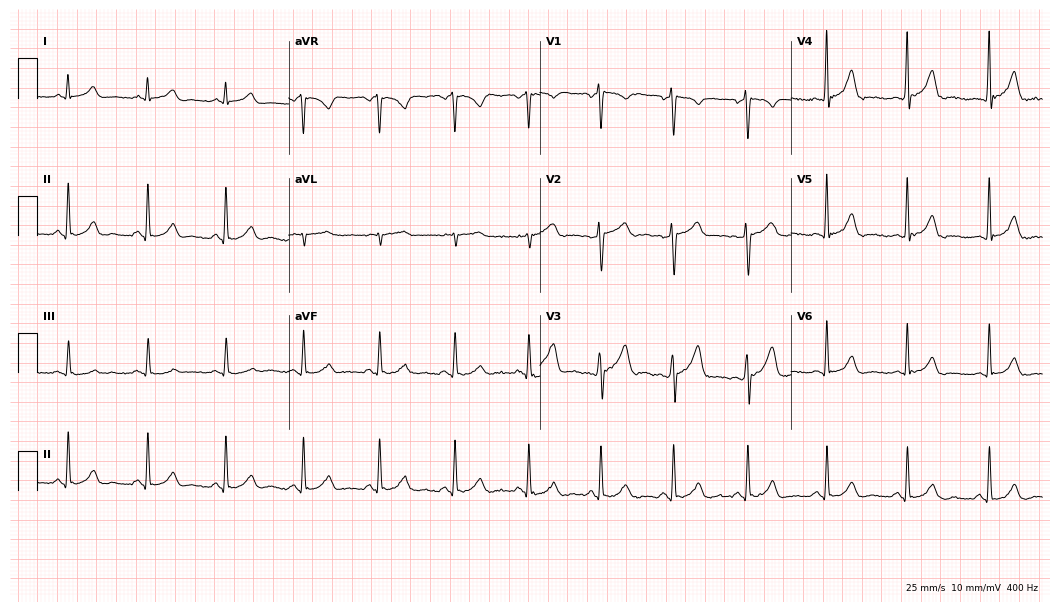
Resting 12-lead electrocardiogram (10.2-second recording at 400 Hz). Patient: a male, 47 years old. Read as a normal ECG.